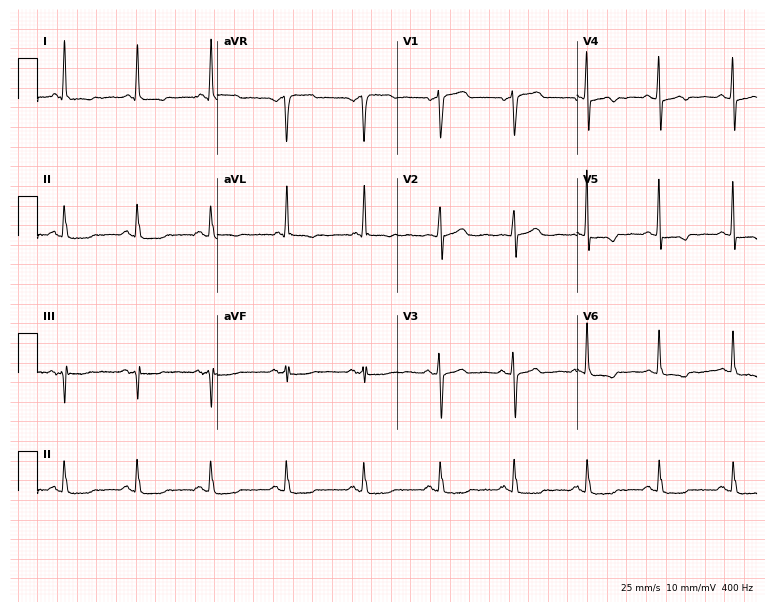
12-lead ECG from a 62-year-old female. Screened for six findings — first-degree AV block, right bundle branch block (RBBB), left bundle branch block (LBBB), sinus bradycardia, atrial fibrillation (AF), sinus tachycardia — none is recorded. Other findings, if any, are not listed.